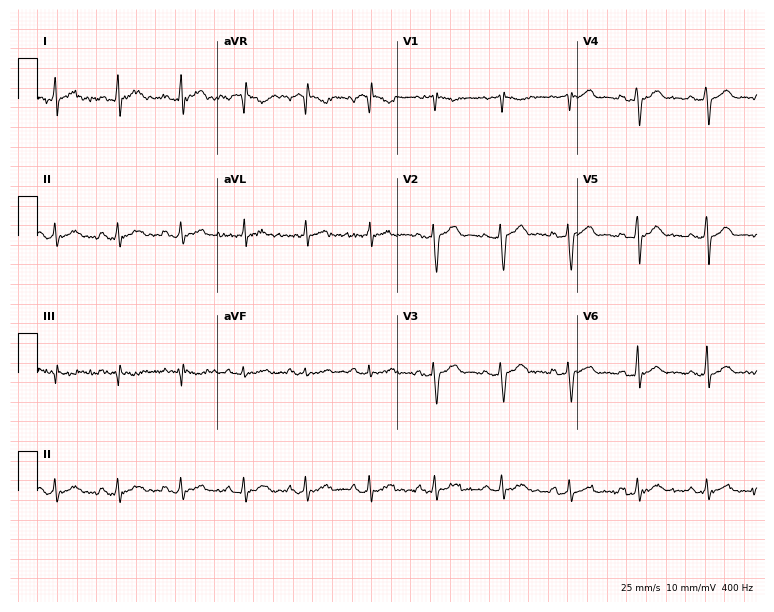
Electrocardiogram, a 32-year-old male. Of the six screened findings (first-degree AV block, right bundle branch block (RBBB), left bundle branch block (LBBB), sinus bradycardia, atrial fibrillation (AF), sinus tachycardia), none is recorded. Findings outside these six are not listed.